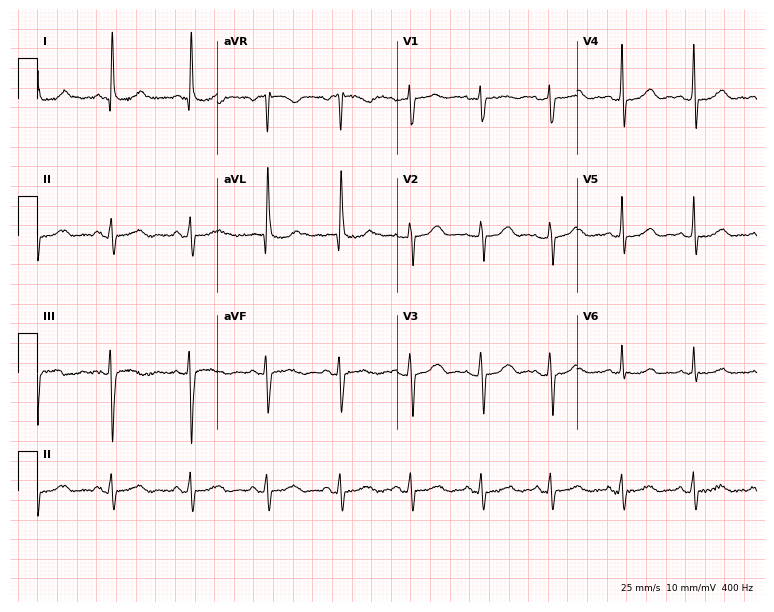
Resting 12-lead electrocardiogram. Patient: a female, 61 years old. None of these six findings is recorded: first-degree AV block, right bundle branch block, left bundle branch block, sinus bradycardia, atrial fibrillation, sinus tachycardia.